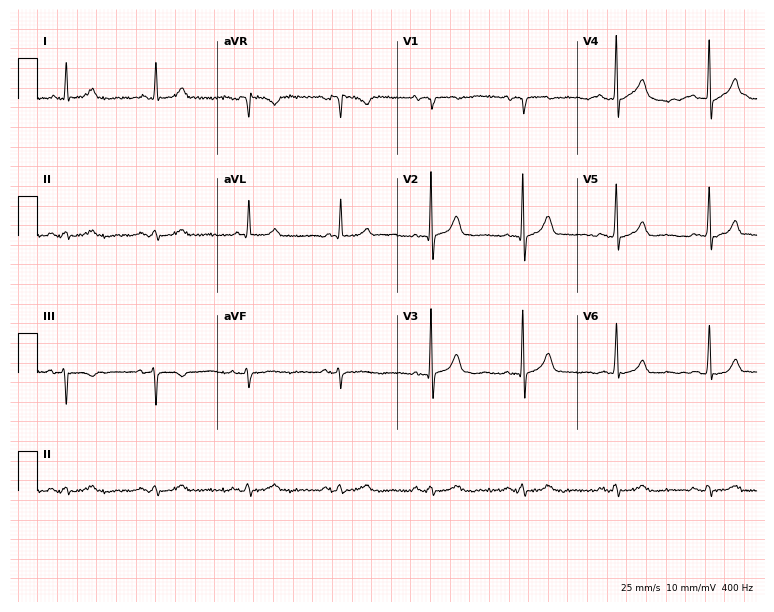
Standard 12-lead ECG recorded from a 79-year-old male. Read as a normal ECG.